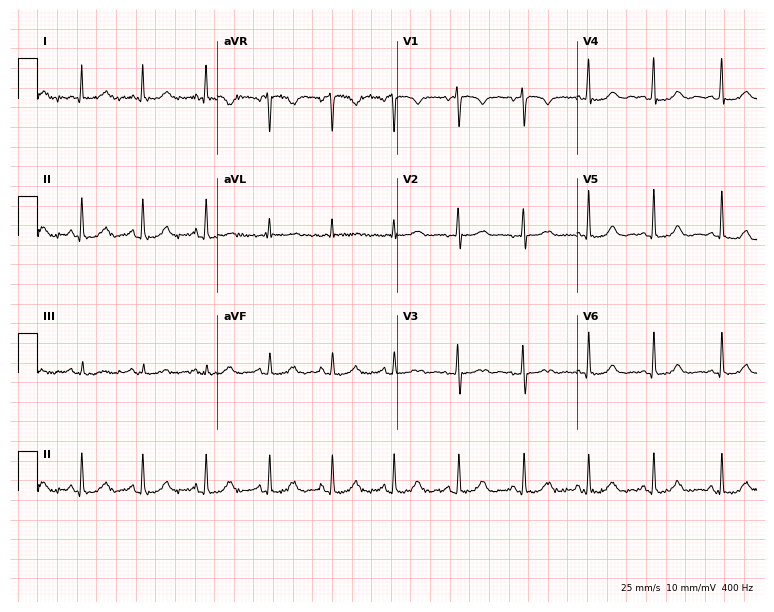
Resting 12-lead electrocardiogram (7.3-second recording at 400 Hz). Patient: a female, 46 years old. Read as a normal ECG.